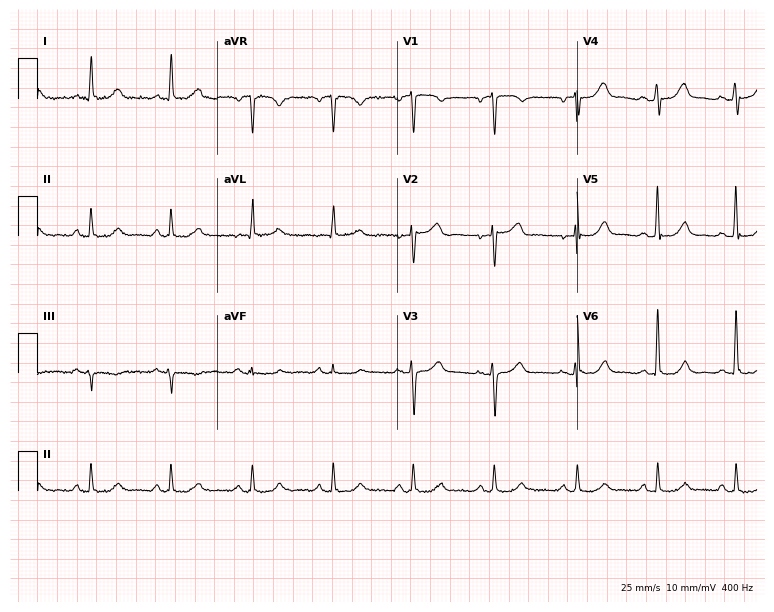
Electrocardiogram (7.3-second recording at 400 Hz), a man, 60 years old. Overall reading on record: normal ECG.